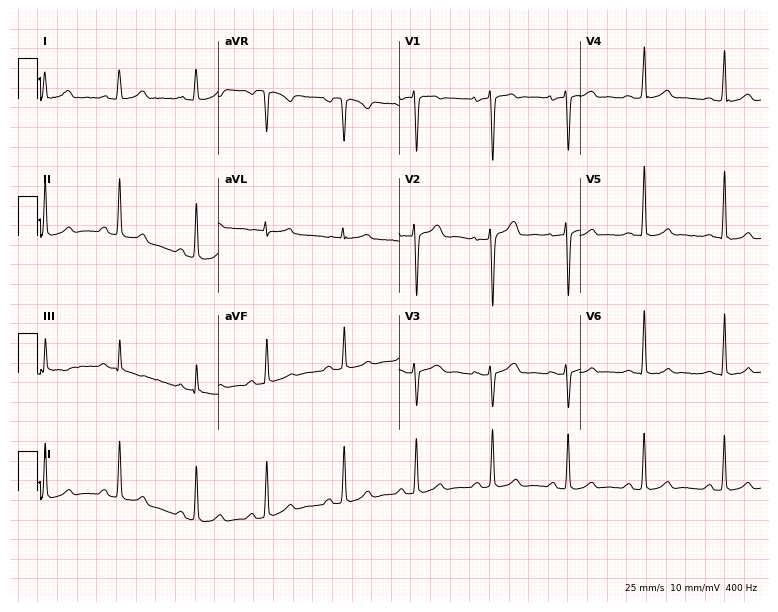
ECG (7.4-second recording at 400 Hz) — a female, 29 years old. Screened for six findings — first-degree AV block, right bundle branch block (RBBB), left bundle branch block (LBBB), sinus bradycardia, atrial fibrillation (AF), sinus tachycardia — none is recorded.